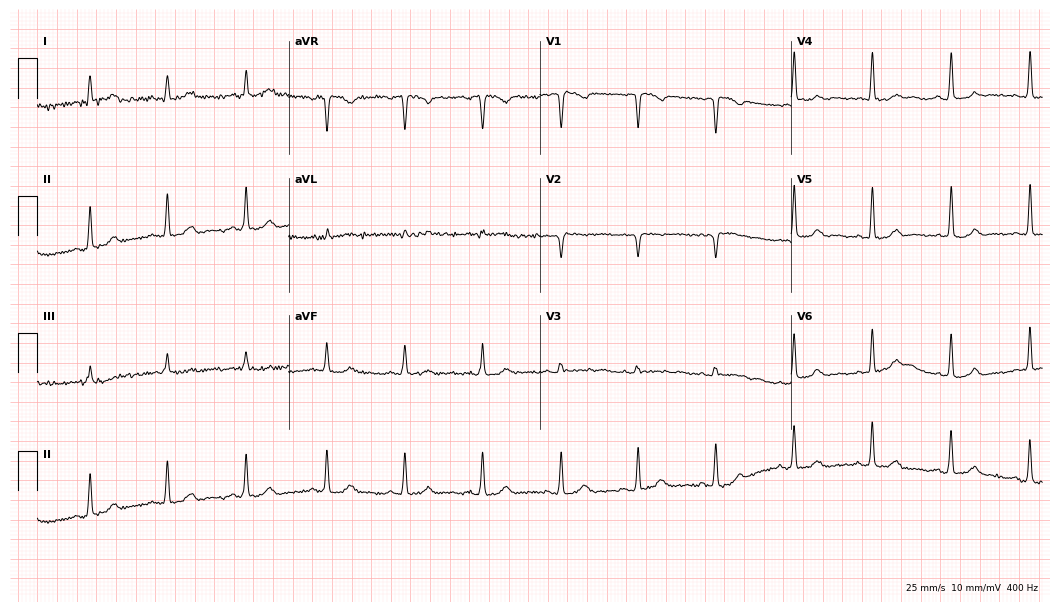
ECG (10.2-second recording at 400 Hz) — a 41-year-old female. Labelled as a normal ECG.